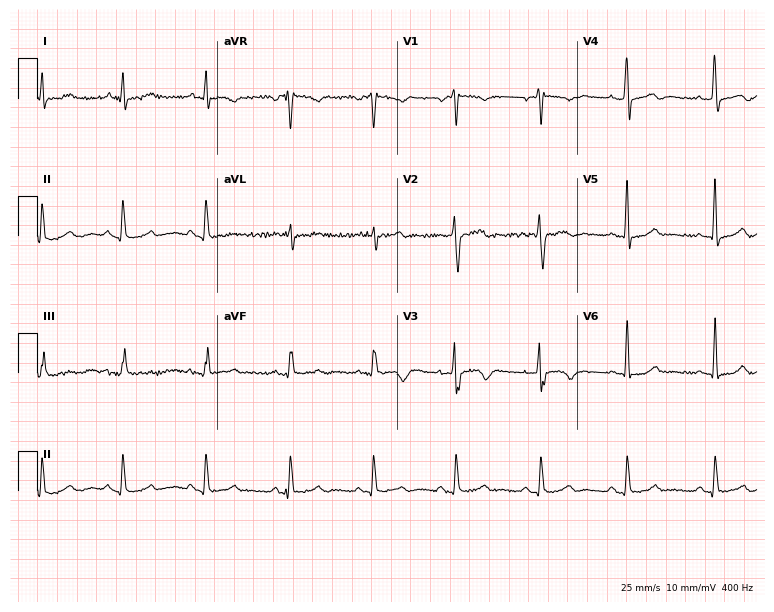
Electrocardiogram (7.3-second recording at 400 Hz), a 65-year-old male patient. Of the six screened findings (first-degree AV block, right bundle branch block (RBBB), left bundle branch block (LBBB), sinus bradycardia, atrial fibrillation (AF), sinus tachycardia), none is recorded. Other findings, if any, are not listed.